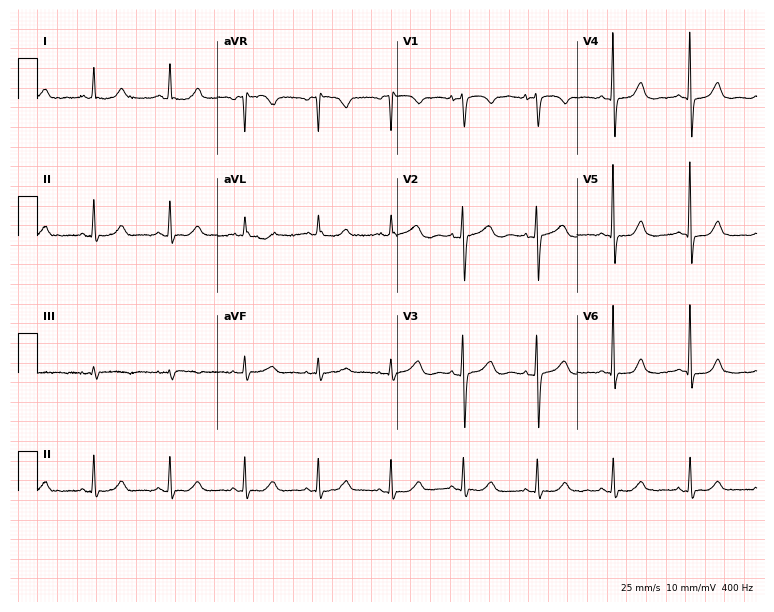
Standard 12-lead ECG recorded from a female, 79 years old (7.3-second recording at 400 Hz). Read as a normal ECG.